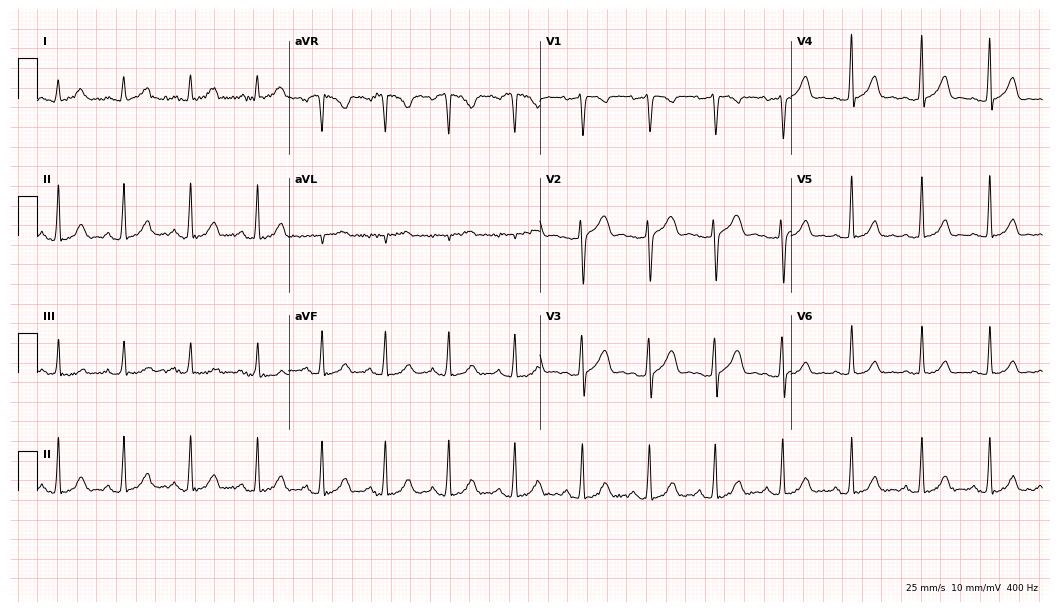
Resting 12-lead electrocardiogram. Patient: a female, 31 years old. None of these six findings is recorded: first-degree AV block, right bundle branch block (RBBB), left bundle branch block (LBBB), sinus bradycardia, atrial fibrillation (AF), sinus tachycardia.